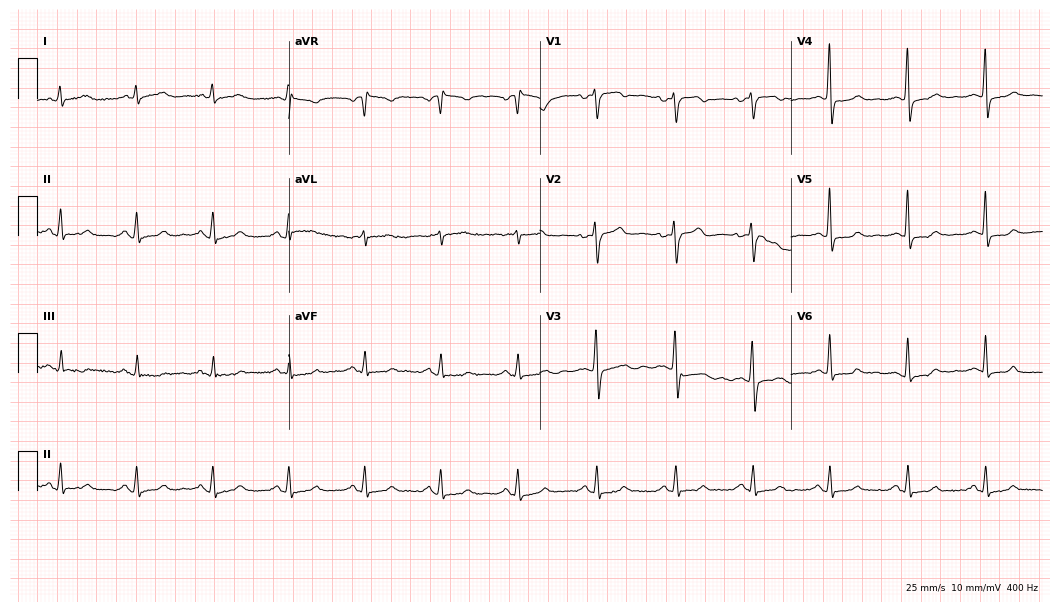
12-lead ECG (10.2-second recording at 400 Hz) from a woman, 44 years old. Screened for six findings — first-degree AV block, right bundle branch block, left bundle branch block, sinus bradycardia, atrial fibrillation, sinus tachycardia — none is recorded. Other findings, if any, are not listed.